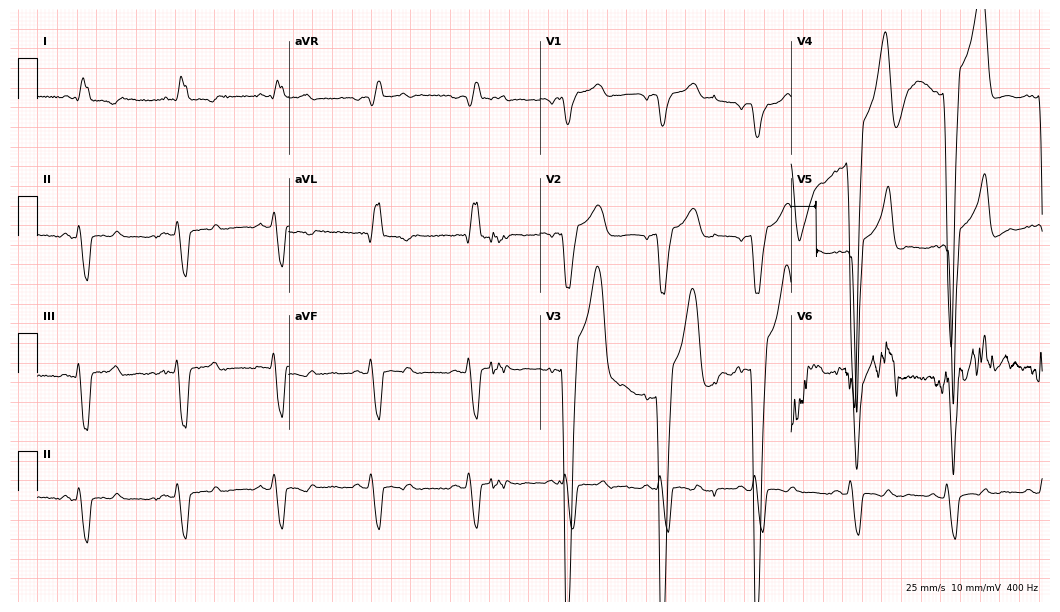
12-lead ECG from a 79-year-old male patient (10.2-second recording at 400 Hz). Shows left bundle branch block.